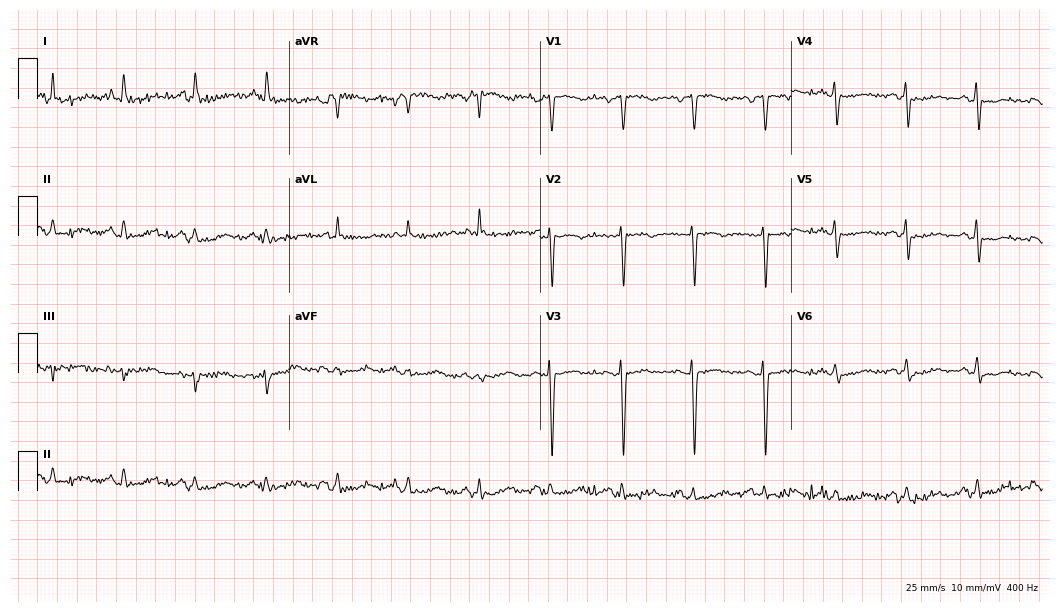
ECG — a 54-year-old female. Screened for six findings — first-degree AV block, right bundle branch block, left bundle branch block, sinus bradycardia, atrial fibrillation, sinus tachycardia — none is recorded. Only these six findings were labelled.